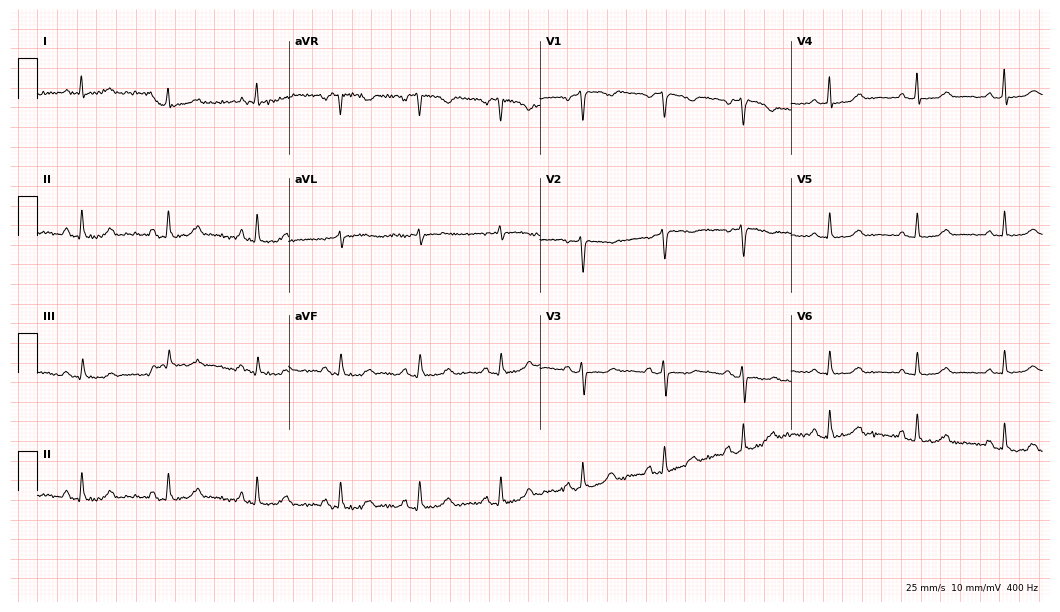
12-lead ECG (10.2-second recording at 400 Hz) from a woman, 48 years old. Screened for six findings — first-degree AV block, right bundle branch block, left bundle branch block, sinus bradycardia, atrial fibrillation, sinus tachycardia — none is recorded.